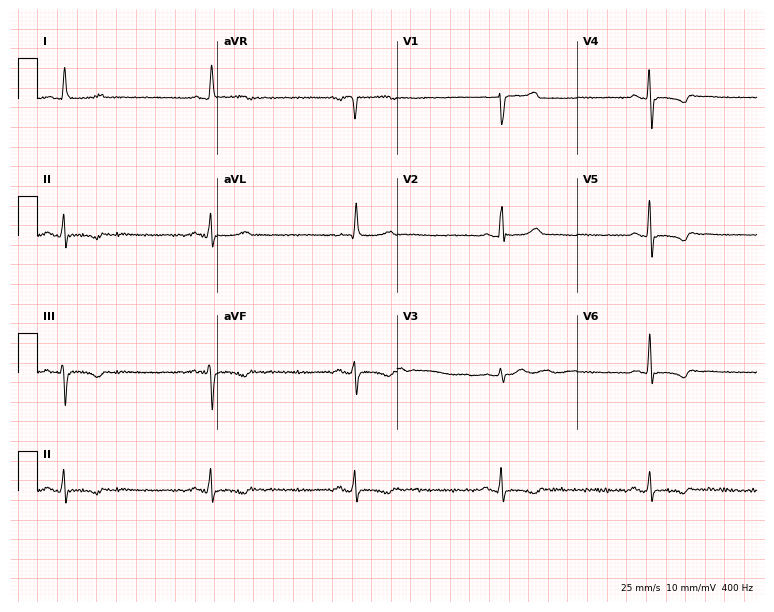
Electrocardiogram, a 76-year-old female. Interpretation includes sinus bradycardia (a sinus rate of 50 beats per minute or less).